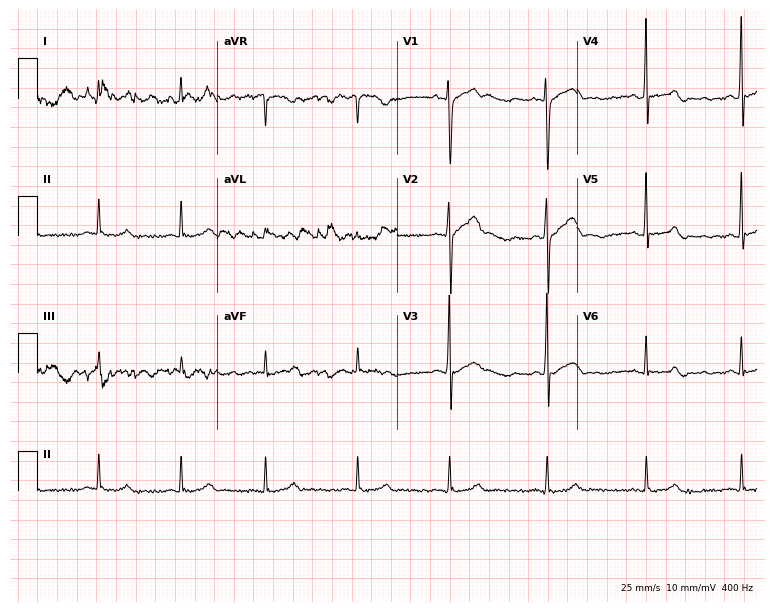
ECG — a male, 39 years old. Screened for six findings — first-degree AV block, right bundle branch block (RBBB), left bundle branch block (LBBB), sinus bradycardia, atrial fibrillation (AF), sinus tachycardia — none is recorded.